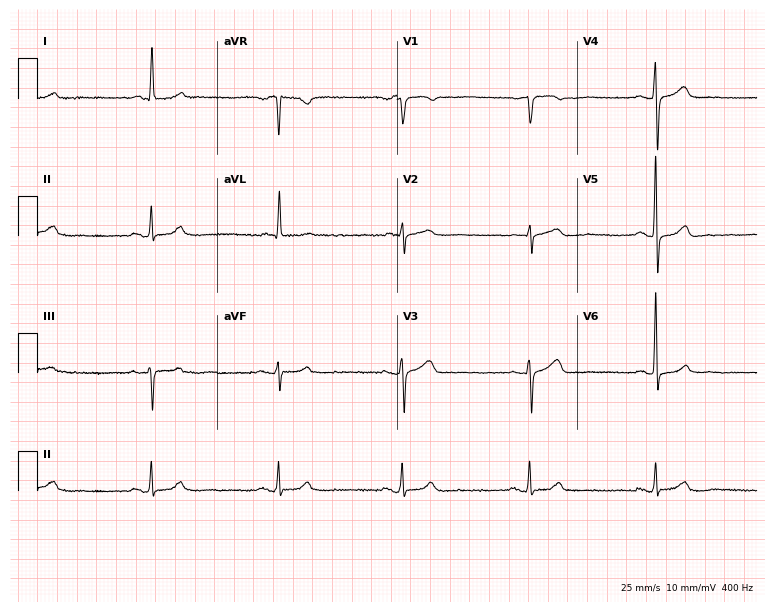
ECG (7.3-second recording at 400 Hz) — a 72-year-old female. Findings include sinus bradycardia (a sinus rate of 50 beats per minute or less).